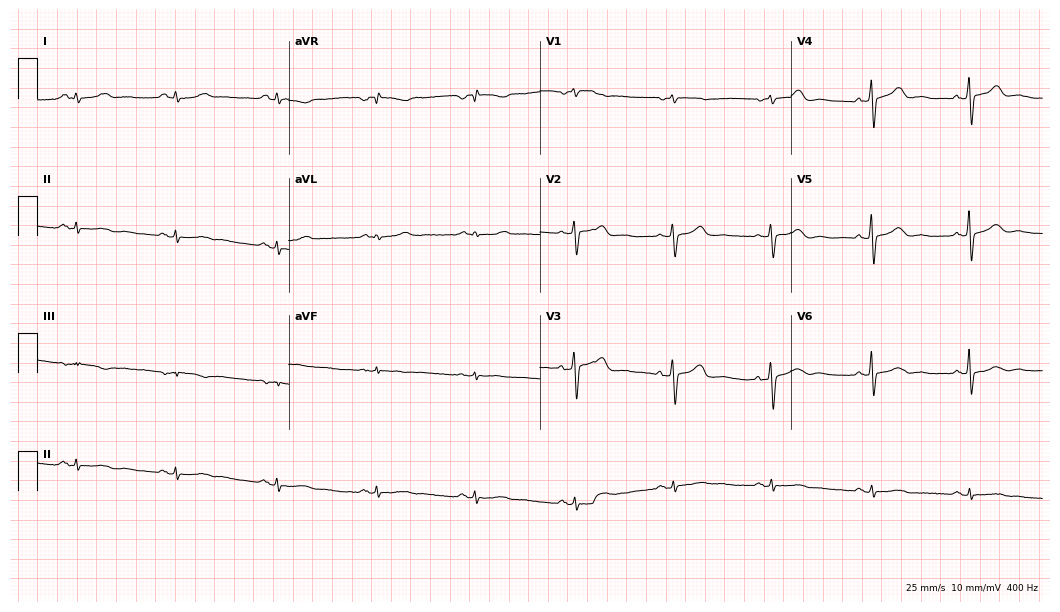
12-lead ECG (10.2-second recording at 400 Hz) from a 51-year-old female. Screened for six findings — first-degree AV block, right bundle branch block (RBBB), left bundle branch block (LBBB), sinus bradycardia, atrial fibrillation (AF), sinus tachycardia — none is recorded.